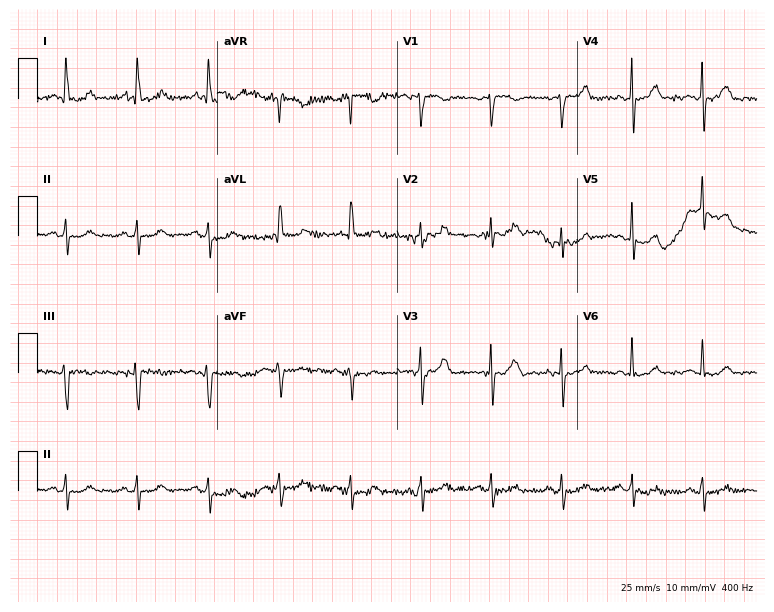
12-lead ECG from a 71-year-old woman. No first-degree AV block, right bundle branch block, left bundle branch block, sinus bradycardia, atrial fibrillation or sinus tachycardia recorded for this tracing. Only these six findings were labelled.